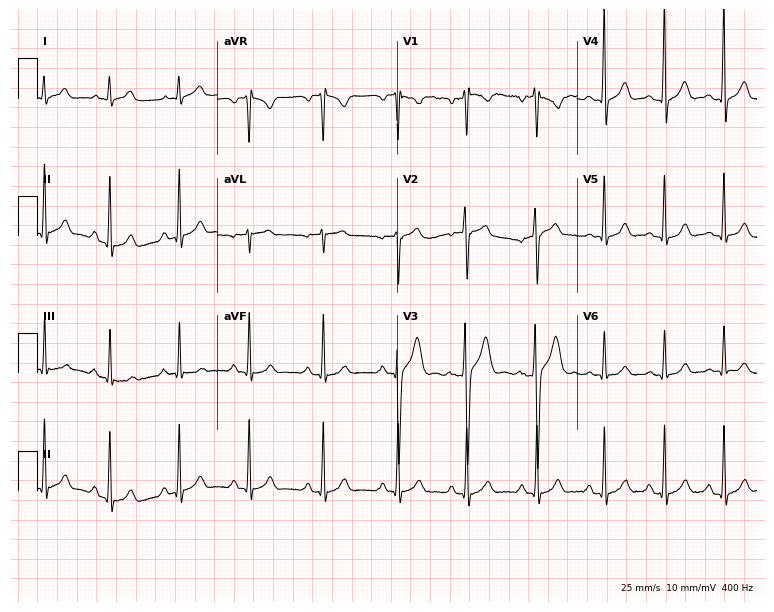
Standard 12-lead ECG recorded from a 21-year-old man. Read as a normal ECG.